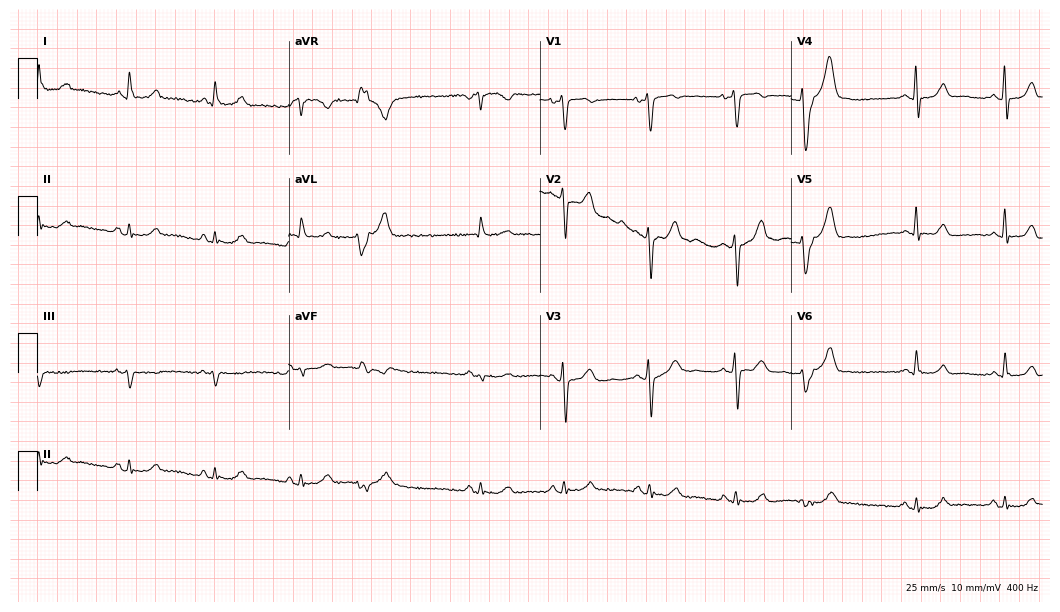
Electrocardiogram, a man, 80 years old. Of the six screened findings (first-degree AV block, right bundle branch block (RBBB), left bundle branch block (LBBB), sinus bradycardia, atrial fibrillation (AF), sinus tachycardia), none is recorded.